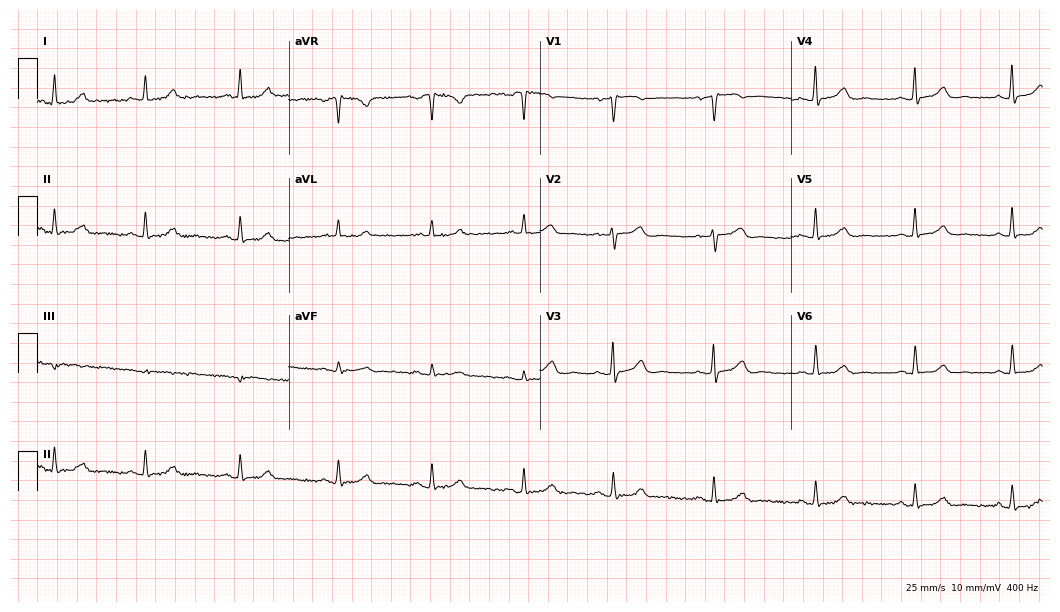
Standard 12-lead ECG recorded from a female, 54 years old (10.2-second recording at 400 Hz). Read as a normal ECG.